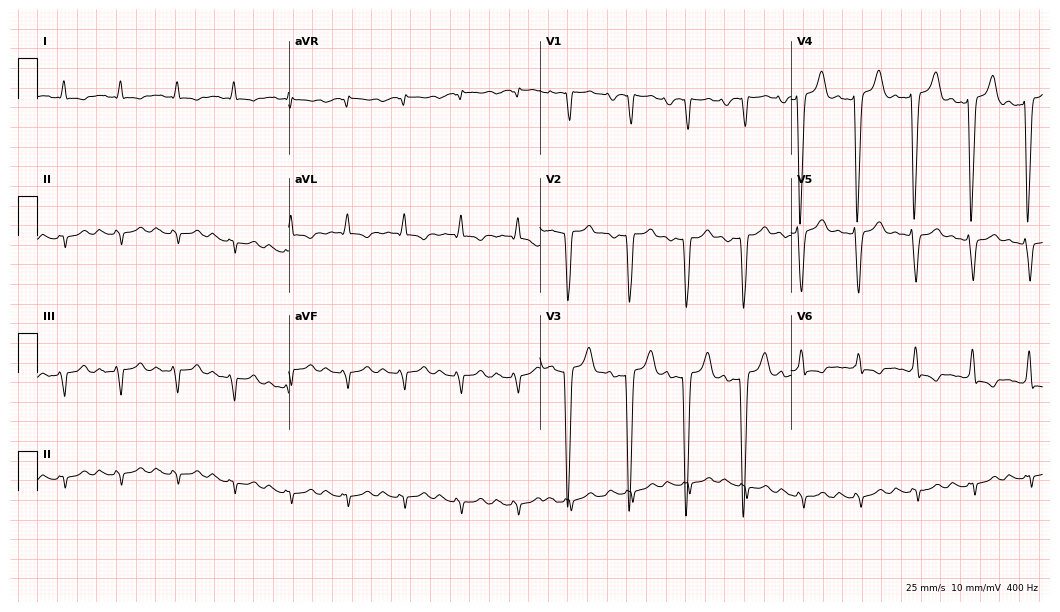
Electrocardiogram (10.2-second recording at 400 Hz), a male patient, 72 years old. Interpretation includes sinus tachycardia (a sinus rate of 100 beats per minute or more).